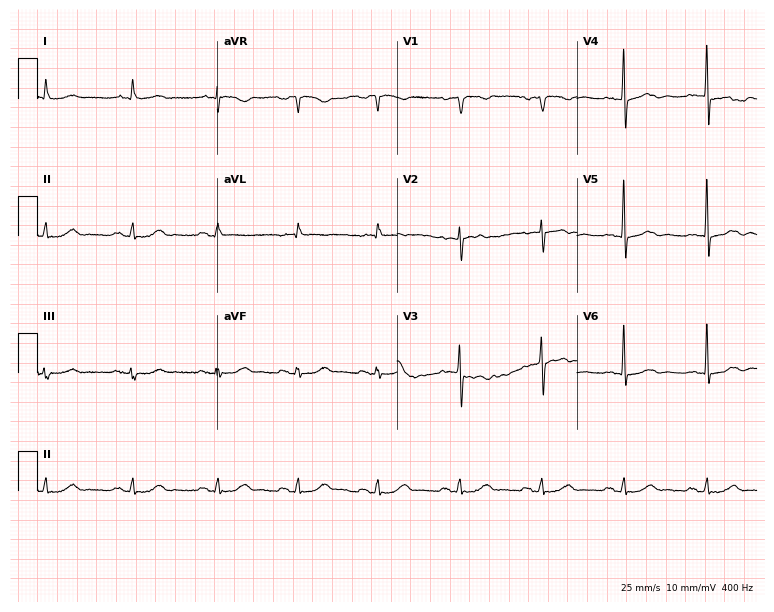
12-lead ECG (7.3-second recording at 400 Hz) from a male patient, 74 years old. Screened for six findings — first-degree AV block, right bundle branch block, left bundle branch block, sinus bradycardia, atrial fibrillation, sinus tachycardia — none is recorded.